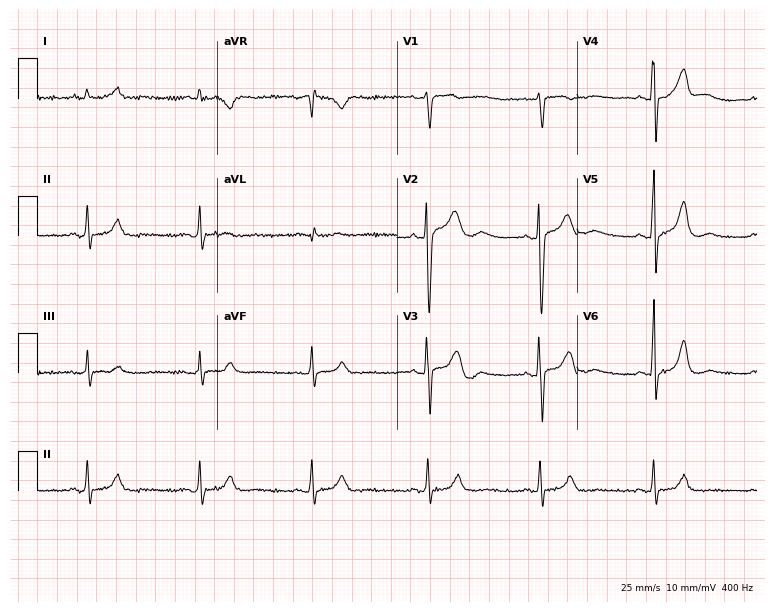
12-lead ECG from a male, 21 years old. Labelled as a normal ECG.